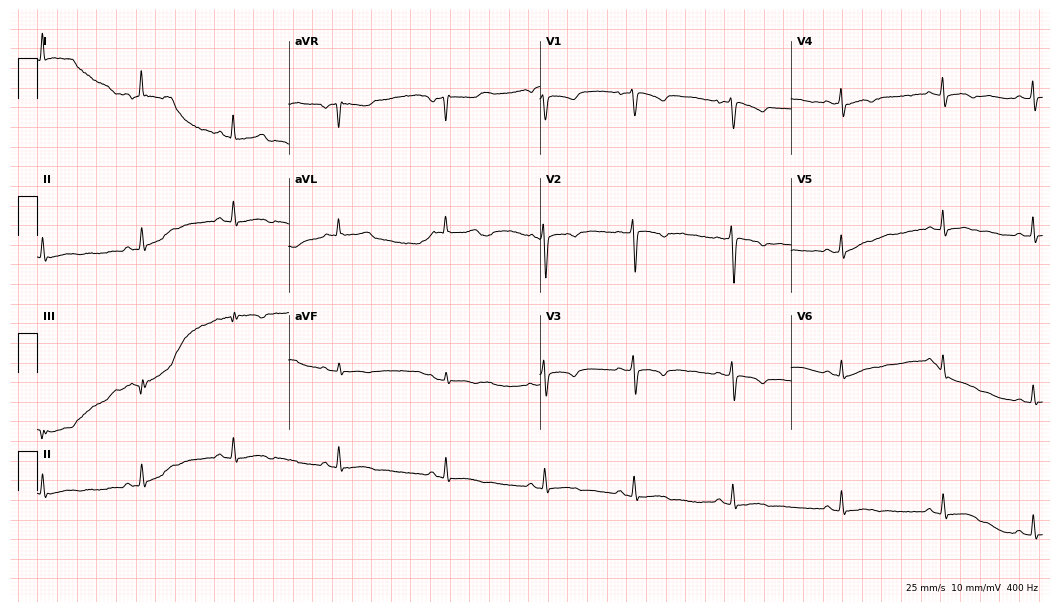
Electrocardiogram, a 28-year-old female. Of the six screened findings (first-degree AV block, right bundle branch block, left bundle branch block, sinus bradycardia, atrial fibrillation, sinus tachycardia), none is recorded. Other findings, if any, are not listed.